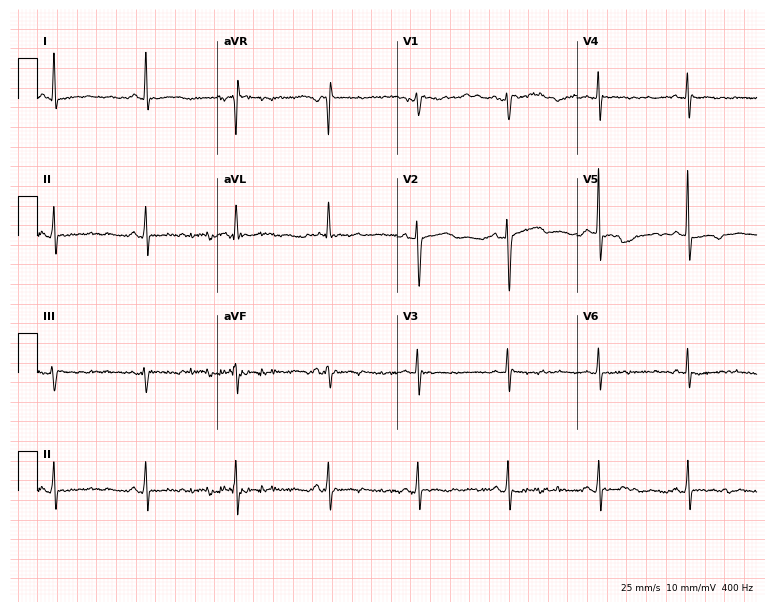
Resting 12-lead electrocardiogram. Patient: a female, 71 years old. None of these six findings is recorded: first-degree AV block, right bundle branch block, left bundle branch block, sinus bradycardia, atrial fibrillation, sinus tachycardia. Other findings, if any, are not listed.